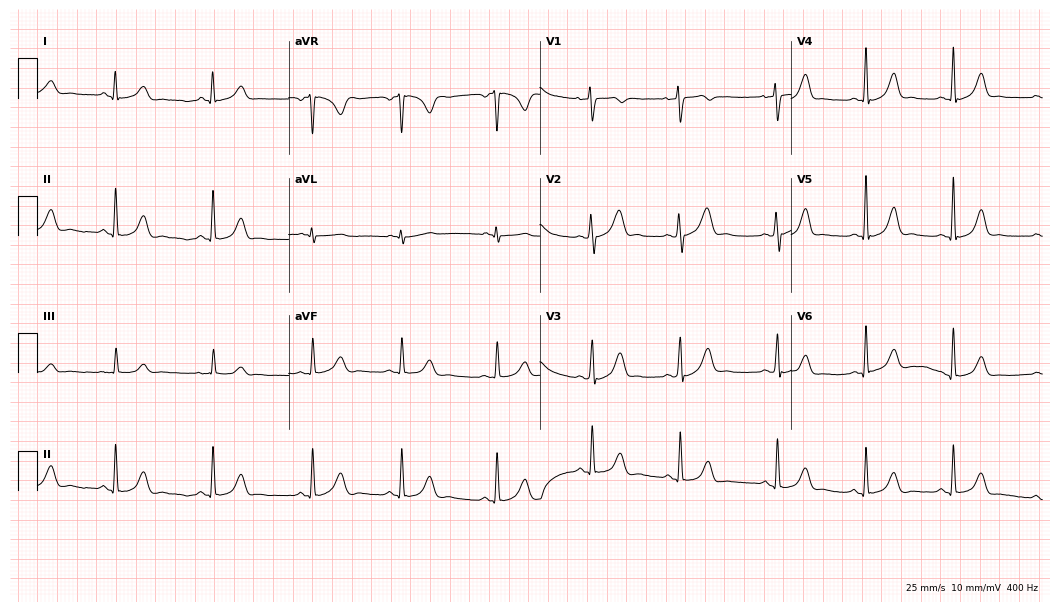
12-lead ECG from a 42-year-old female patient. Screened for six findings — first-degree AV block, right bundle branch block, left bundle branch block, sinus bradycardia, atrial fibrillation, sinus tachycardia — none is recorded.